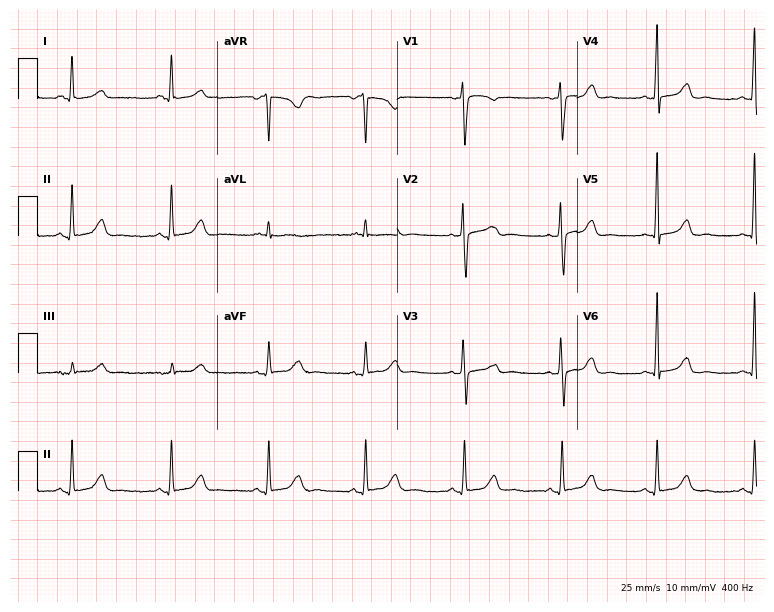
Electrocardiogram, a 58-year-old woman. Overall reading on record: normal ECG.